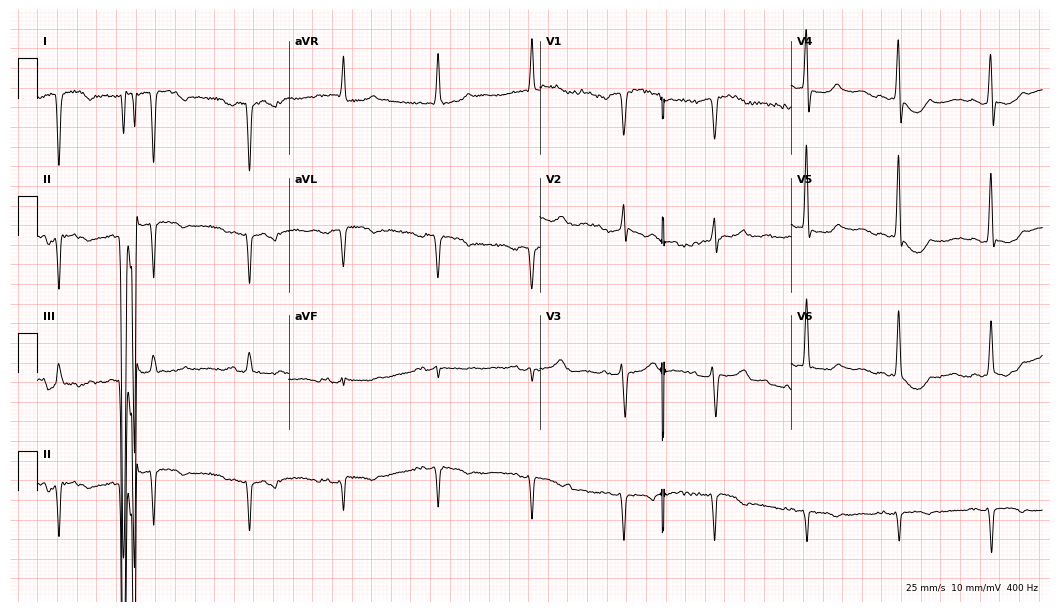
Resting 12-lead electrocardiogram (10.2-second recording at 400 Hz). Patient: a female, 69 years old. None of these six findings is recorded: first-degree AV block, right bundle branch block, left bundle branch block, sinus bradycardia, atrial fibrillation, sinus tachycardia. Findings outside these six are not listed.